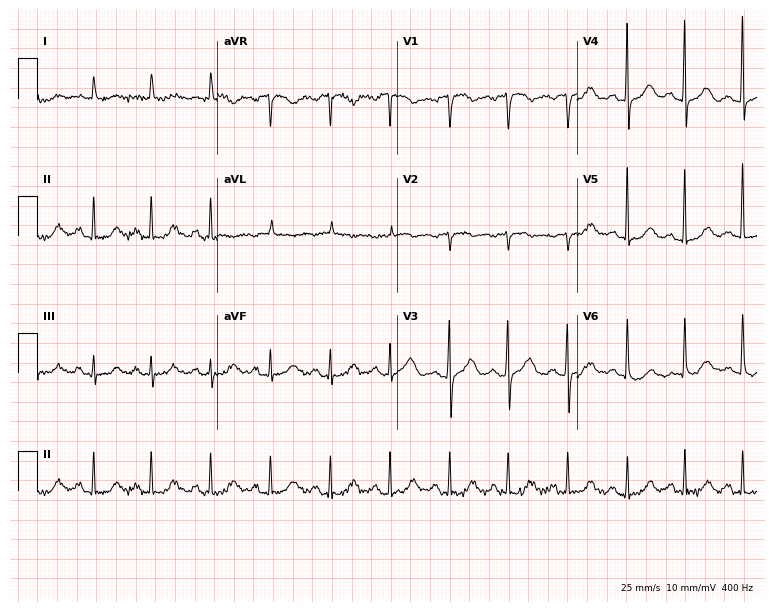
Standard 12-lead ECG recorded from a 78-year-old female patient. None of these six findings is recorded: first-degree AV block, right bundle branch block (RBBB), left bundle branch block (LBBB), sinus bradycardia, atrial fibrillation (AF), sinus tachycardia. Other findings, if any, are not listed.